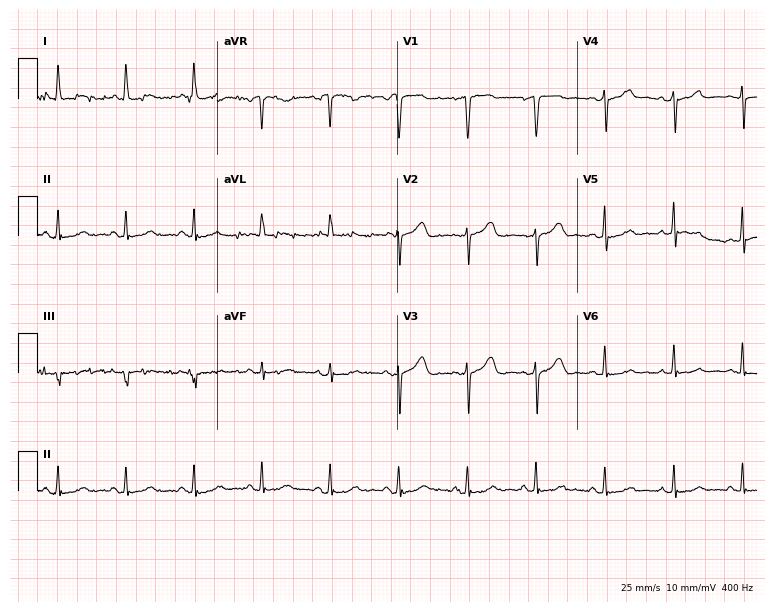
ECG (7.3-second recording at 400 Hz) — a 75-year-old female patient. Screened for six findings — first-degree AV block, right bundle branch block, left bundle branch block, sinus bradycardia, atrial fibrillation, sinus tachycardia — none is recorded. Only these six findings were labelled.